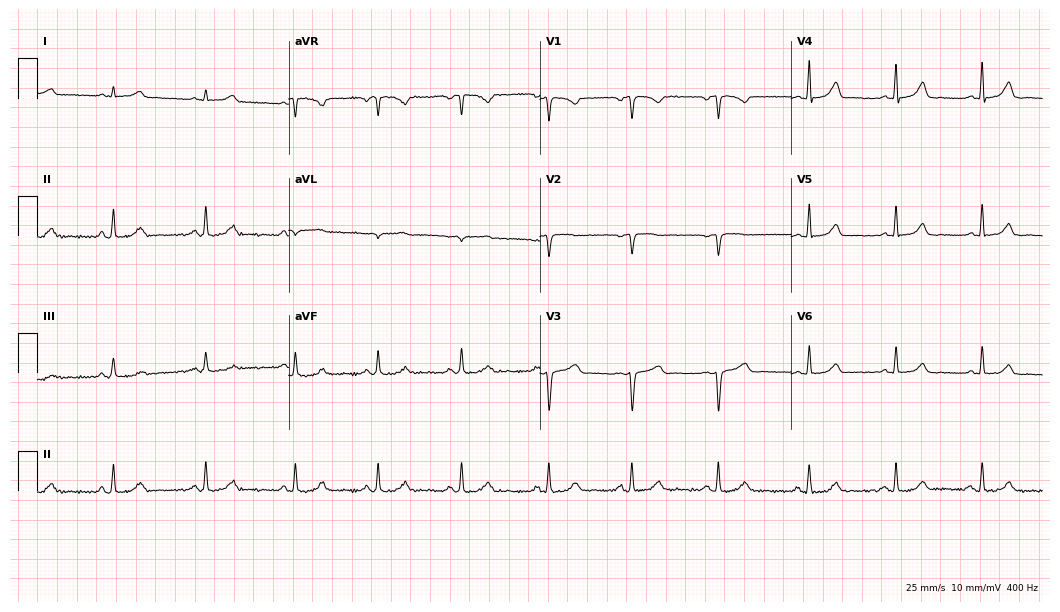
Standard 12-lead ECG recorded from a 38-year-old female patient. None of these six findings is recorded: first-degree AV block, right bundle branch block, left bundle branch block, sinus bradycardia, atrial fibrillation, sinus tachycardia.